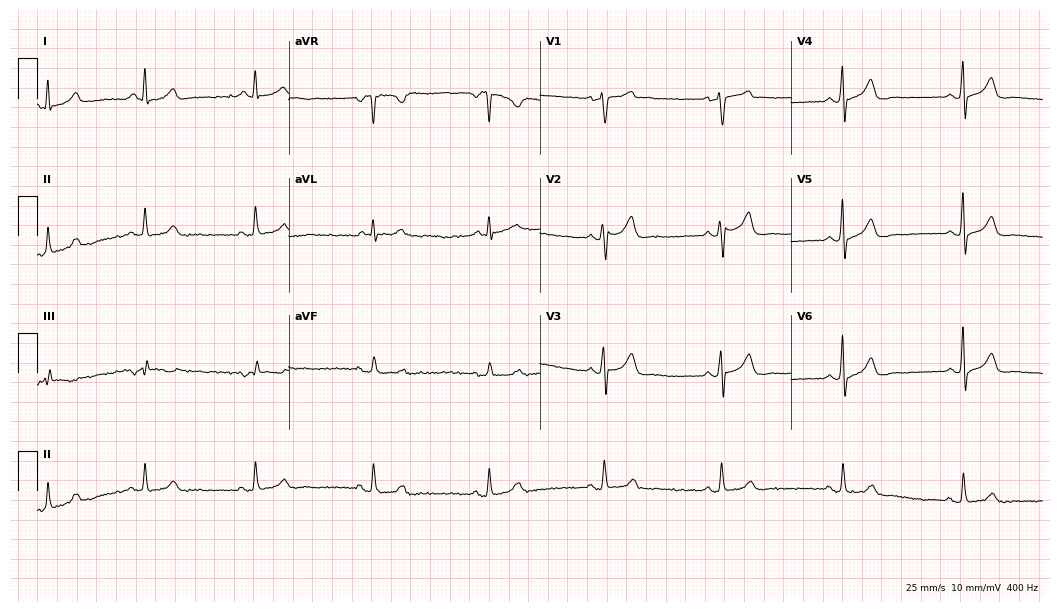
Electrocardiogram, a 63-year-old man. Interpretation includes sinus bradycardia (a sinus rate of 50 beats per minute or less).